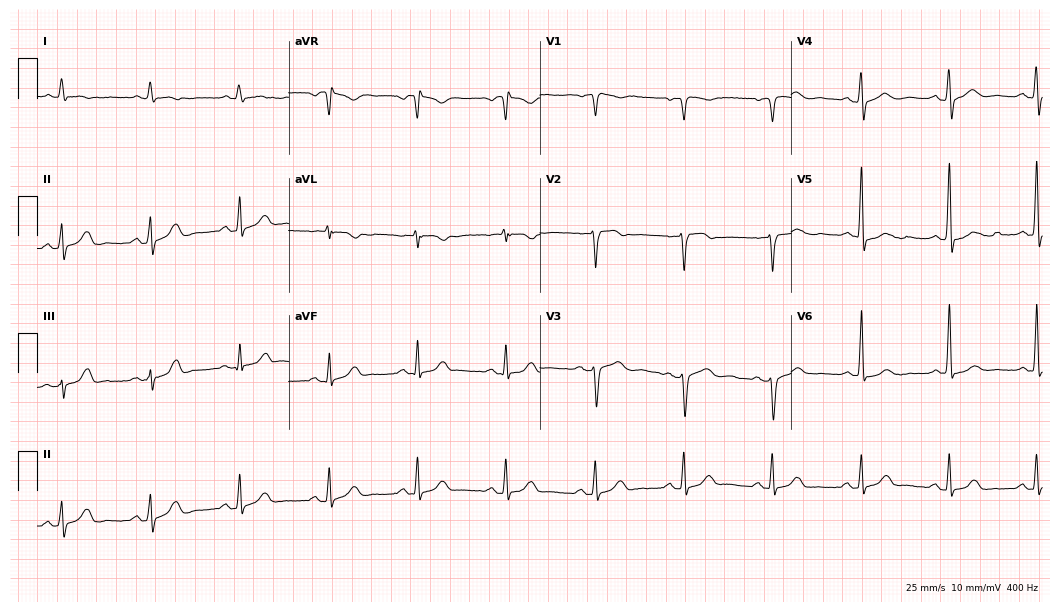
Resting 12-lead electrocardiogram. Patient: a 62-year-old woman. None of these six findings is recorded: first-degree AV block, right bundle branch block, left bundle branch block, sinus bradycardia, atrial fibrillation, sinus tachycardia.